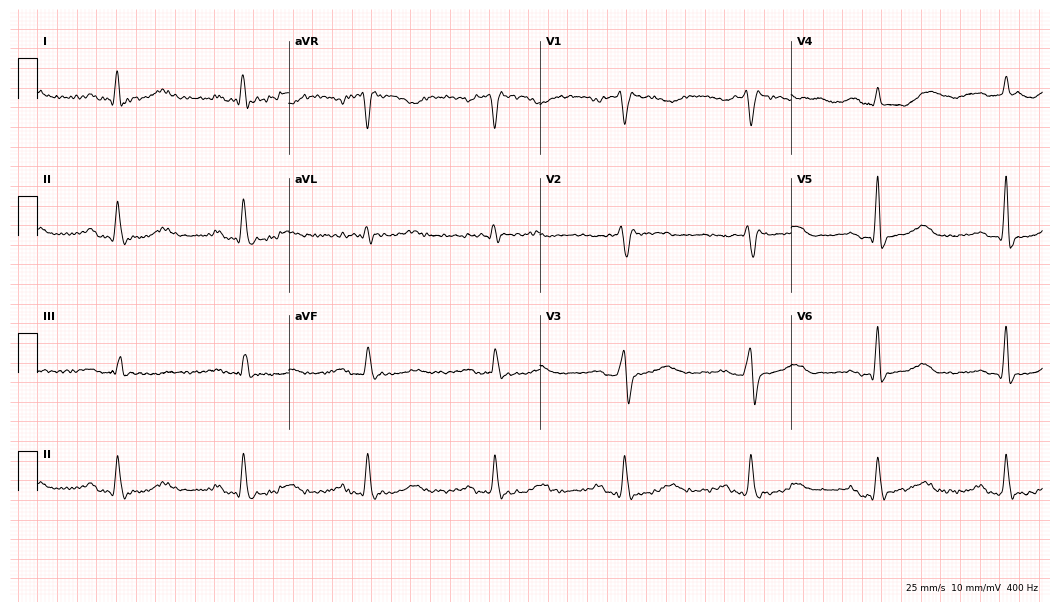
12-lead ECG from a female patient, 47 years old. Findings include right bundle branch block.